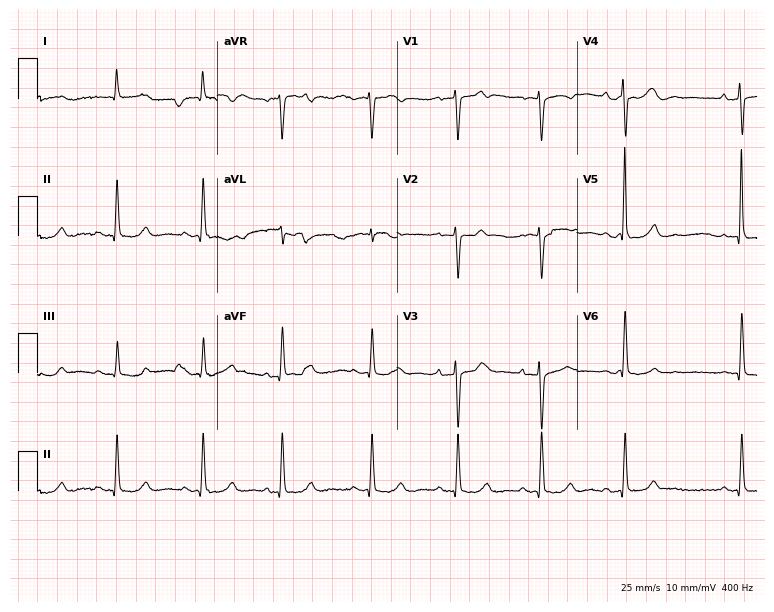
Standard 12-lead ECG recorded from a female patient, 83 years old. Read as a normal ECG.